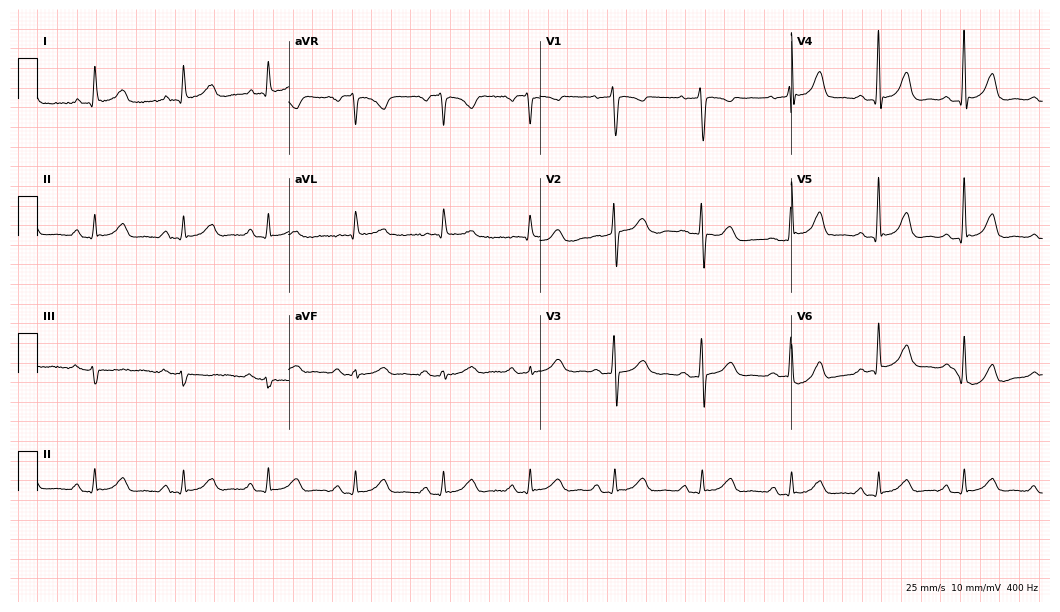
12-lead ECG from a female patient, 60 years old. Recorded interpretation: within normal limits.